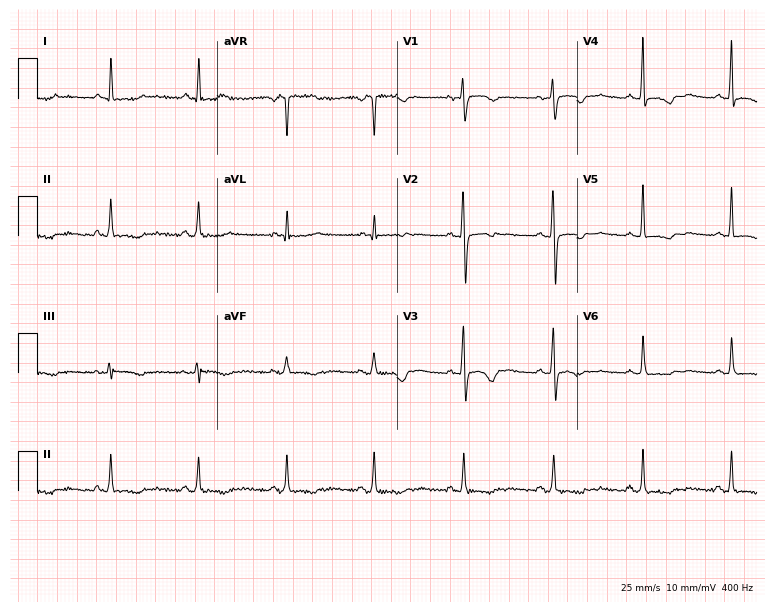
Resting 12-lead electrocardiogram. Patient: a 58-year-old female. None of these six findings is recorded: first-degree AV block, right bundle branch block, left bundle branch block, sinus bradycardia, atrial fibrillation, sinus tachycardia.